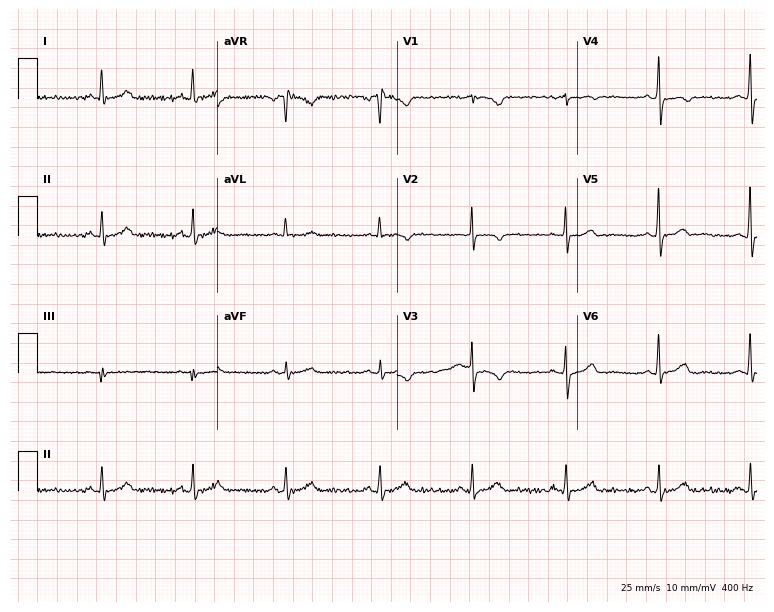
Standard 12-lead ECG recorded from a female patient, 60 years old (7.3-second recording at 400 Hz). Read as a normal ECG.